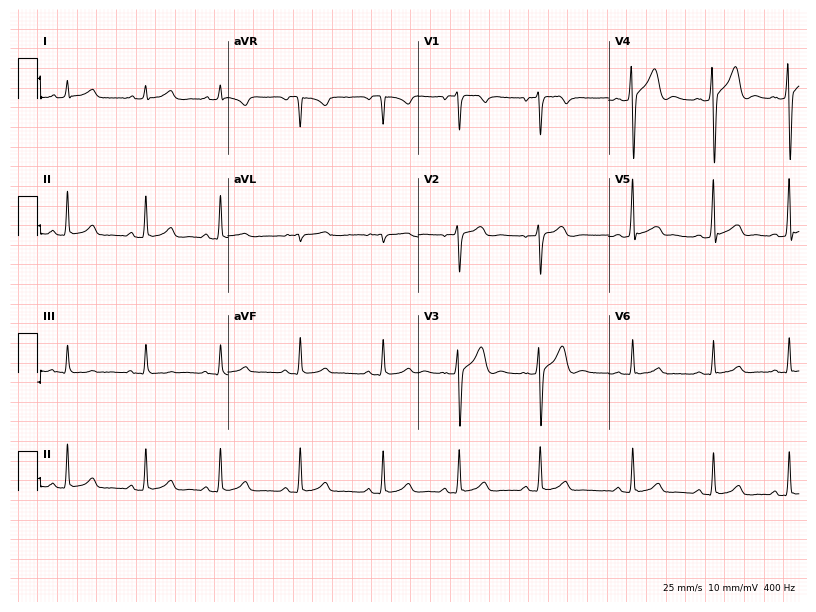
12-lead ECG (7.8-second recording at 400 Hz) from a male patient, 20 years old. Labelled as a normal ECG.